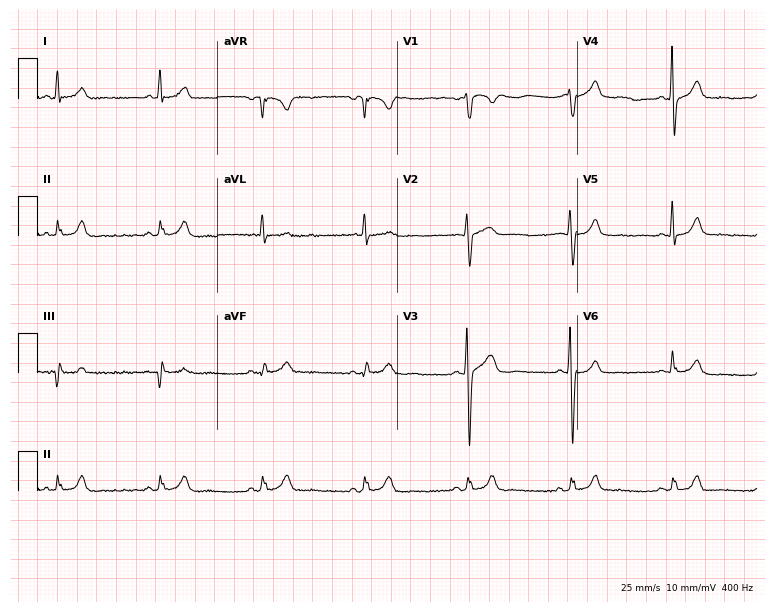
12-lead ECG from a male patient, 38 years old. Labelled as a normal ECG.